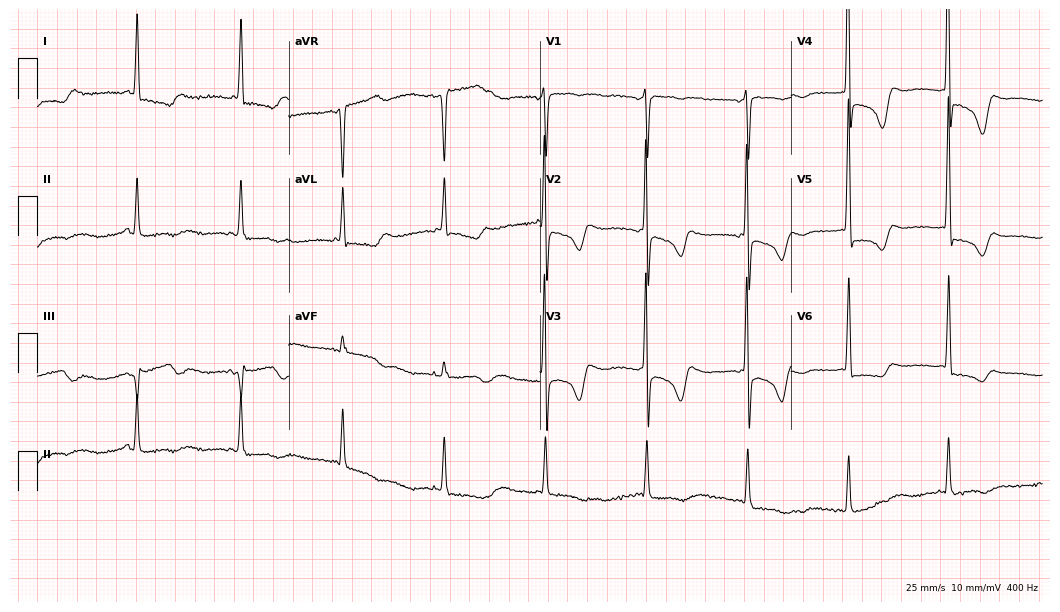
Electrocardiogram (10.2-second recording at 400 Hz), a 70-year-old female. Of the six screened findings (first-degree AV block, right bundle branch block, left bundle branch block, sinus bradycardia, atrial fibrillation, sinus tachycardia), none is recorded. Only these six findings were labelled.